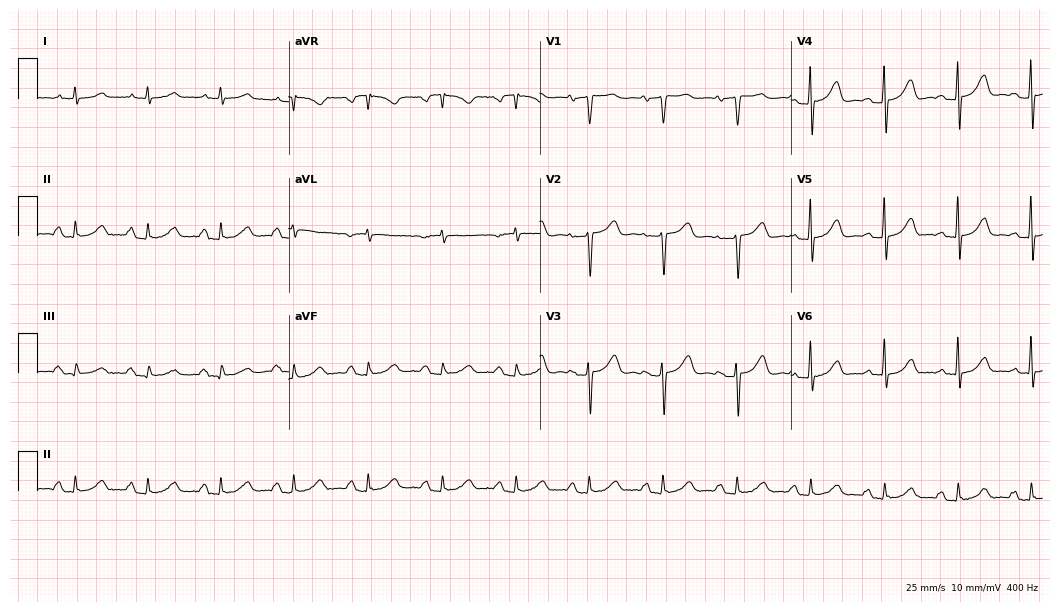
Resting 12-lead electrocardiogram. Patient: a female, 75 years old. Read as a normal ECG.